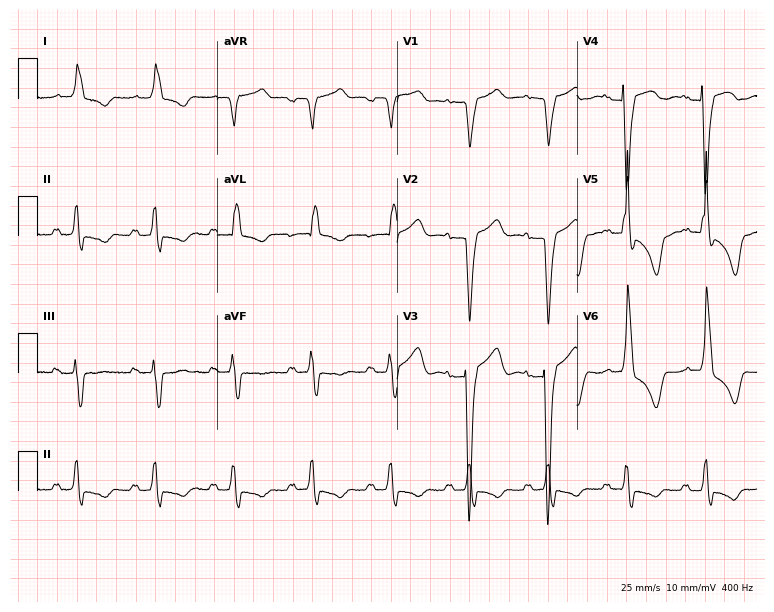
12-lead ECG from a female patient, 84 years old. Shows first-degree AV block, left bundle branch block.